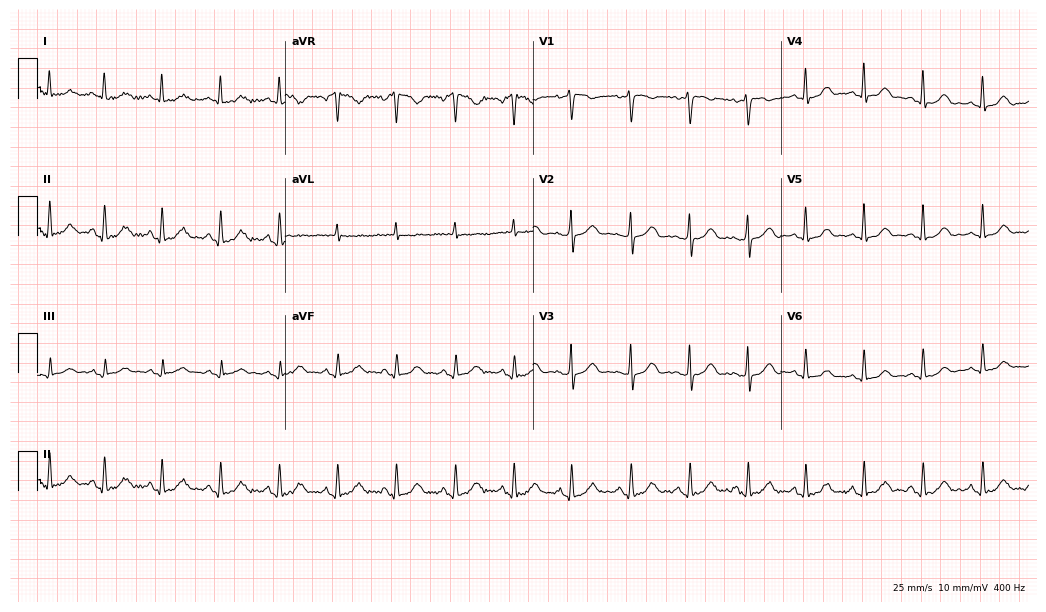
Standard 12-lead ECG recorded from a female patient, 44 years old (10.1-second recording at 400 Hz). The tracing shows sinus tachycardia (a sinus rate of 100 beats per minute or more).